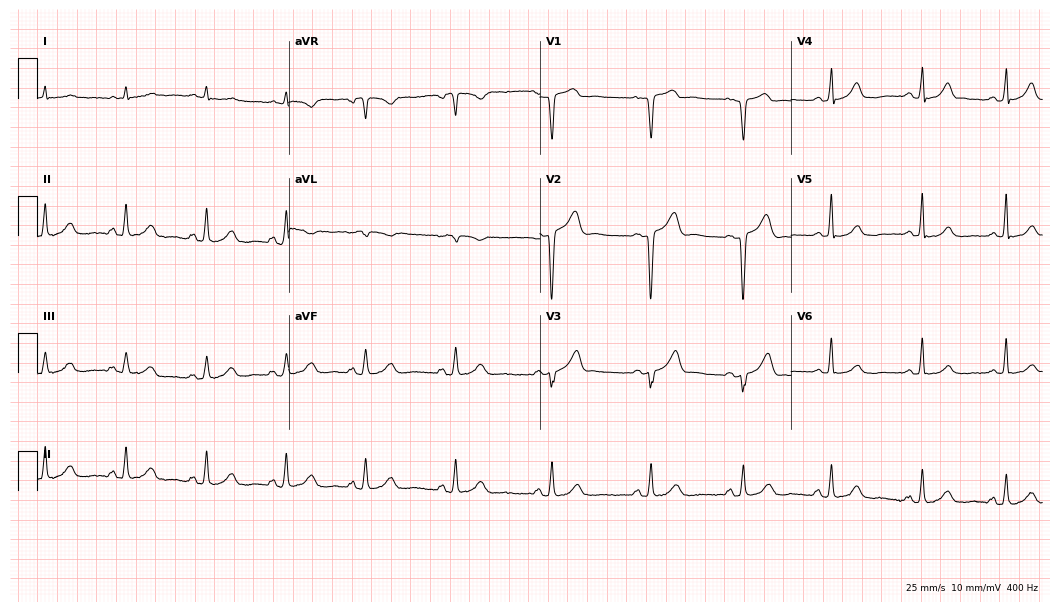
12-lead ECG from a 61-year-old man (10.2-second recording at 400 Hz). No first-degree AV block, right bundle branch block (RBBB), left bundle branch block (LBBB), sinus bradycardia, atrial fibrillation (AF) or sinus tachycardia recorded for this tracing.